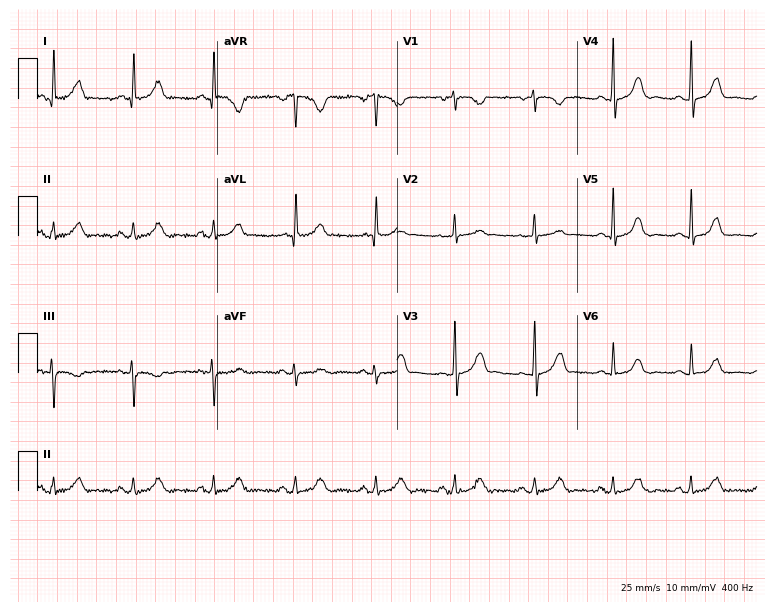
ECG (7.3-second recording at 400 Hz) — a 50-year-old female patient. Labelled as a normal ECG.